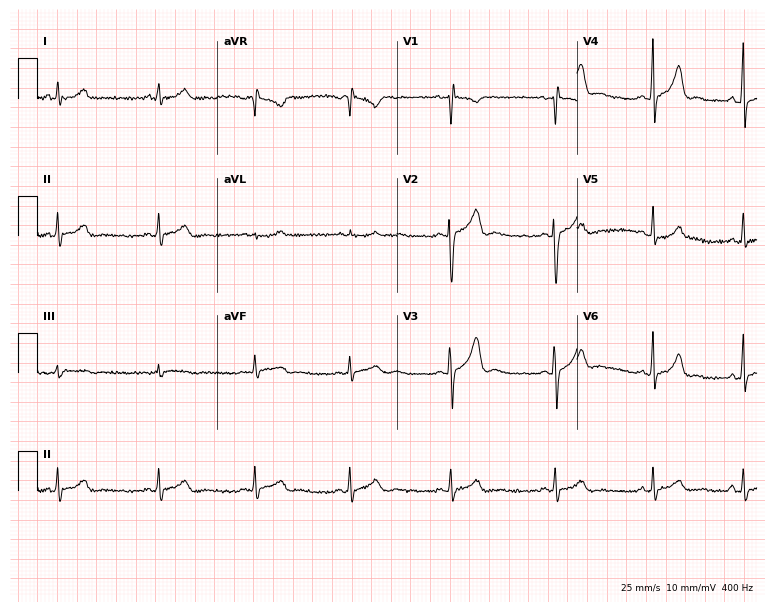
12-lead ECG from a woman, 24 years old. No first-degree AV block, right bundle branch block (RBBB), left bundle branch block (LBBB), sinus bradycardia, atrial fibrillation (AF) or sinus tachycardia recorded for this tracing.